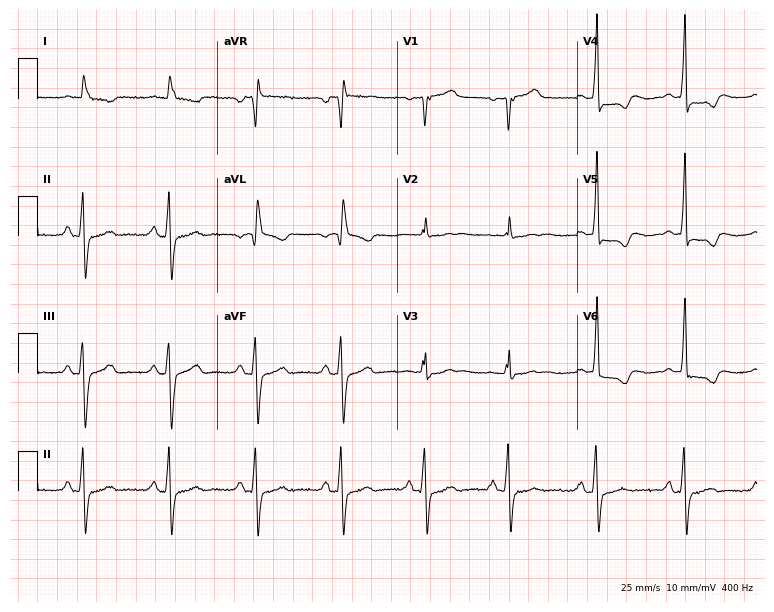
12-lead ECG from a male patient, 80 years old (7.3-second recording at 400 Hz). No first-degree AV block, right bundle branch block, left bundle branch block, sinus bradycardia, atrial fibrillation or sinus tachycardia recorded for this tracing.